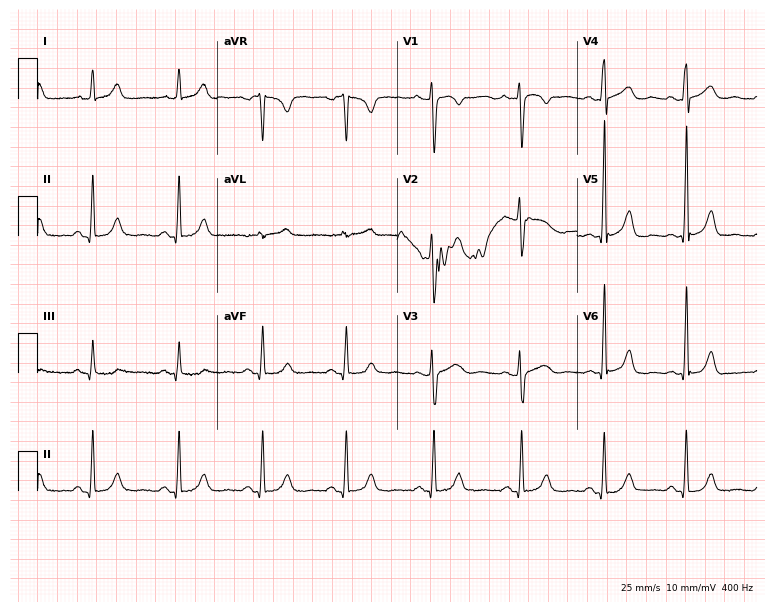
Standard 12-lead ECG recorded from a female, 37 years old. None of these six findings is recorded: first-degree AV block, right bundle branch block (RBBB), left bundle branch block (LBBB), sinus bradycardia, atrial fibrillation (AF), sinus tachycardia.